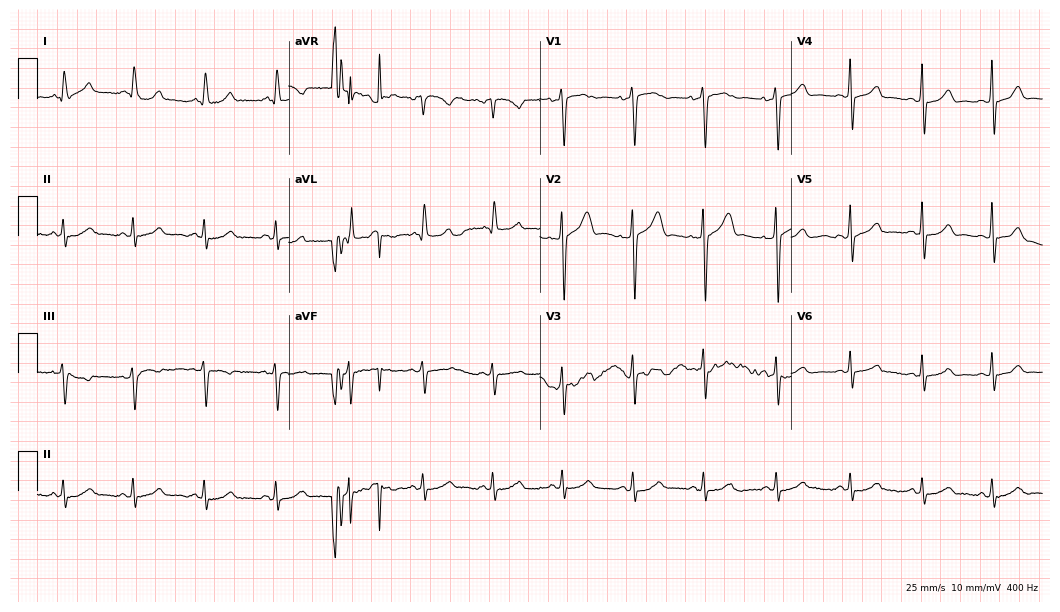
ECG — a 61-year-old female patient. Labelled as a normal ECG.